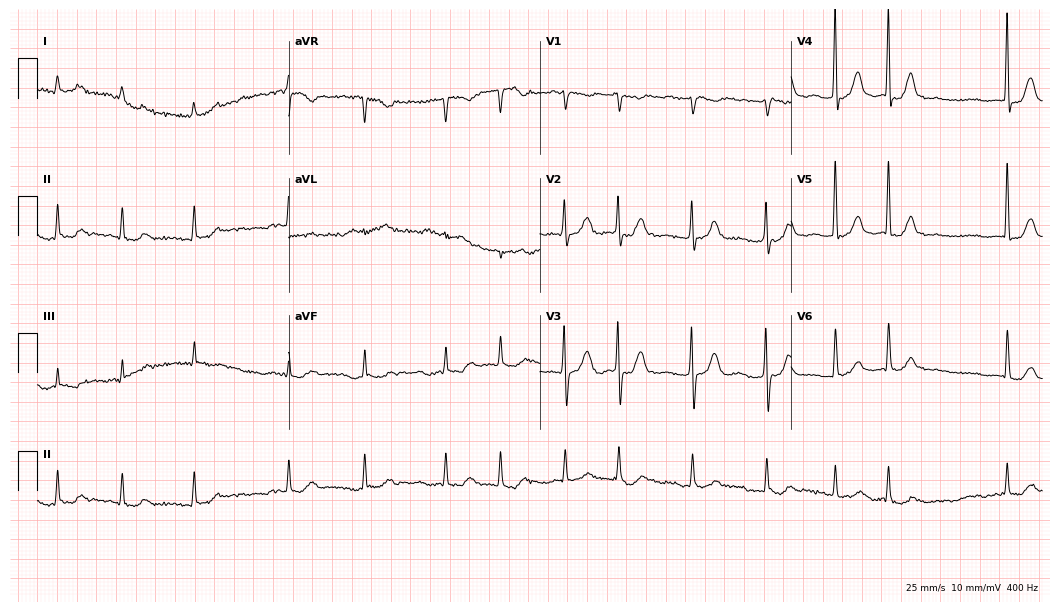
12-lead ECG from a 78-year-old woman. Shows atrial fibrillation (AF).